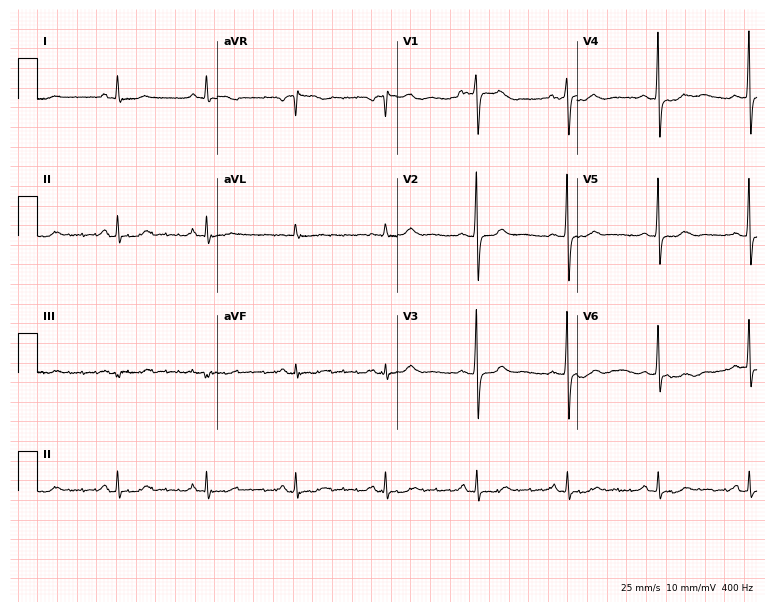
Standard 12-lead ECG recorded from a female, 65 years old. Read as a normal ECG.